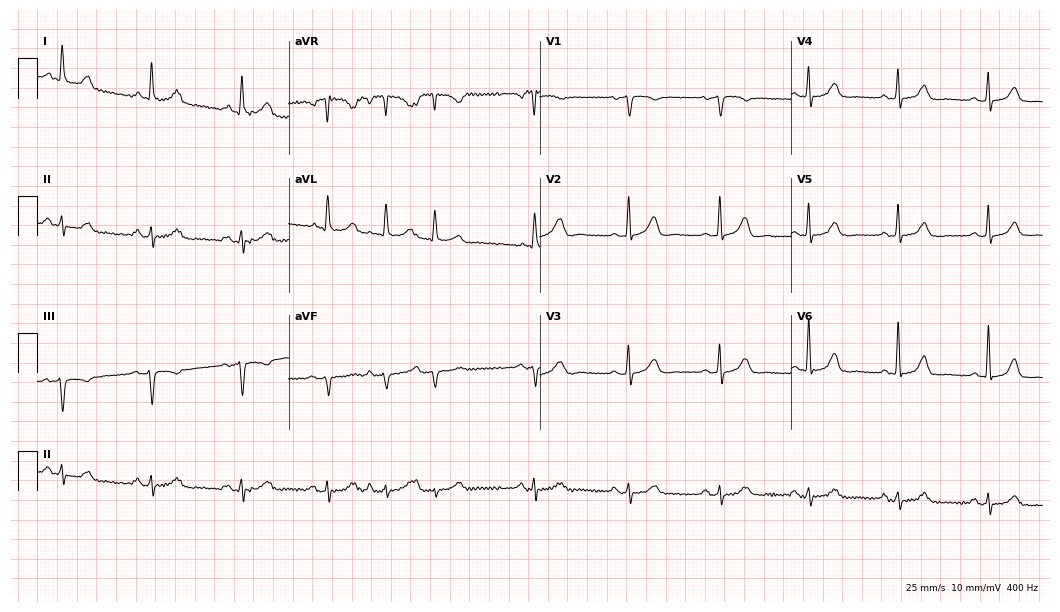
Standard 12-lead ECG recorded from a female patient, 72 years old. Read as a normal ECG.